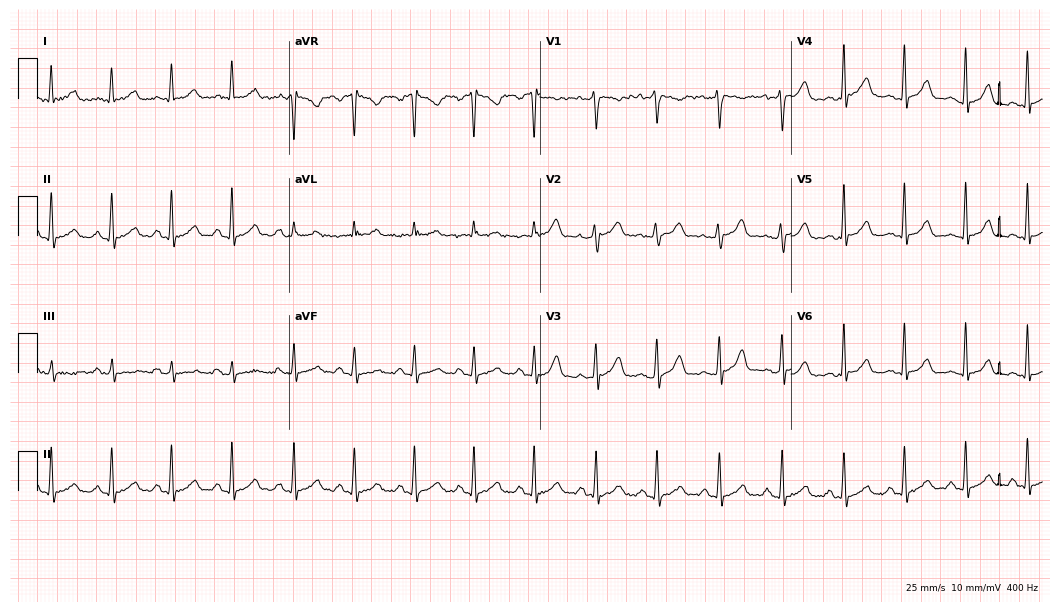
Electrocardiogram (10.2-second recording at 400 Hz), a female patient, 35 years old. Of the six screened findings (first-degree AV block, right bundle branch block, left bundle branch block, sinus bradycardia, atrial fibrillation, sinus tachycardia), none is recorded. Other findings, if any, are not listed.